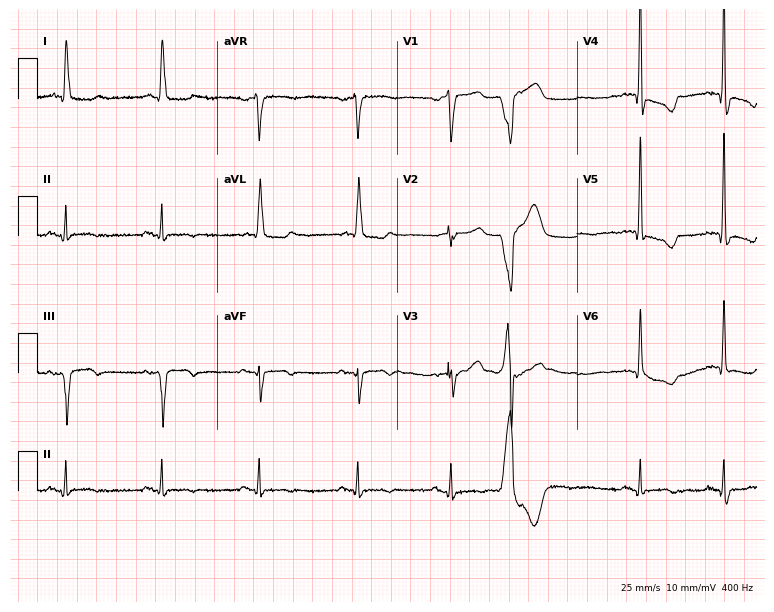
Resting 12-lead electrocardiogram. Patient: a male, 79 years old. None of these six findings is recorded: first-degree AV block, right bundle branch block, left bundle branch block, sinus bradycardia, atrial fibrillation, sinus tachycardia.